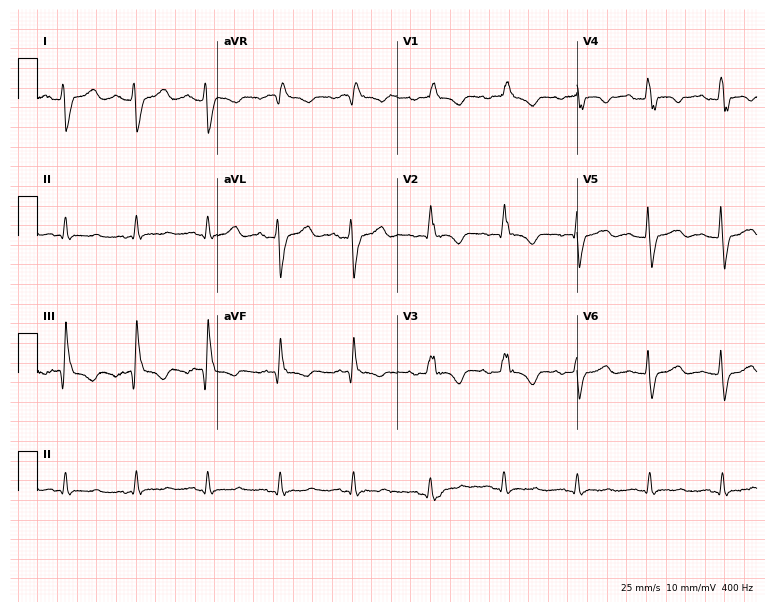
Standard 12-lead ECG recorded from a 55-year-old female patient (7.3-second recording at 400 Hz). None of these six findings is recorded: first-degree AV block, right bundle branch block (RBBB), left bundle branch block (LBBB), sinus bradycardia, atrial fibrillation (AF), sinus tachycardia. Only these six findings were labelled.